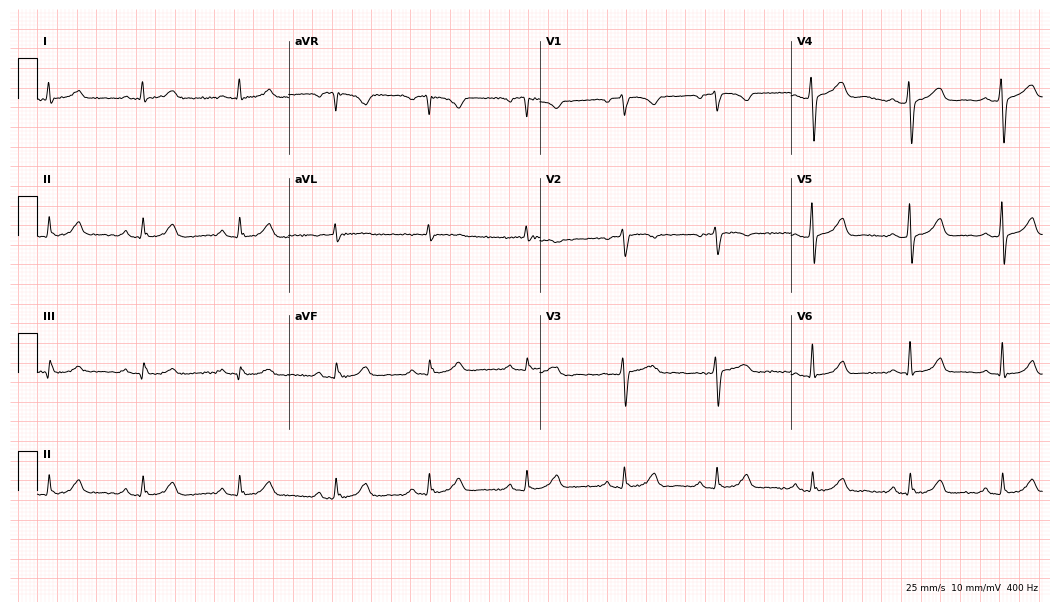
12-lead ECG from a woman, 56 years old. Recorded interpretation: within normal limits.